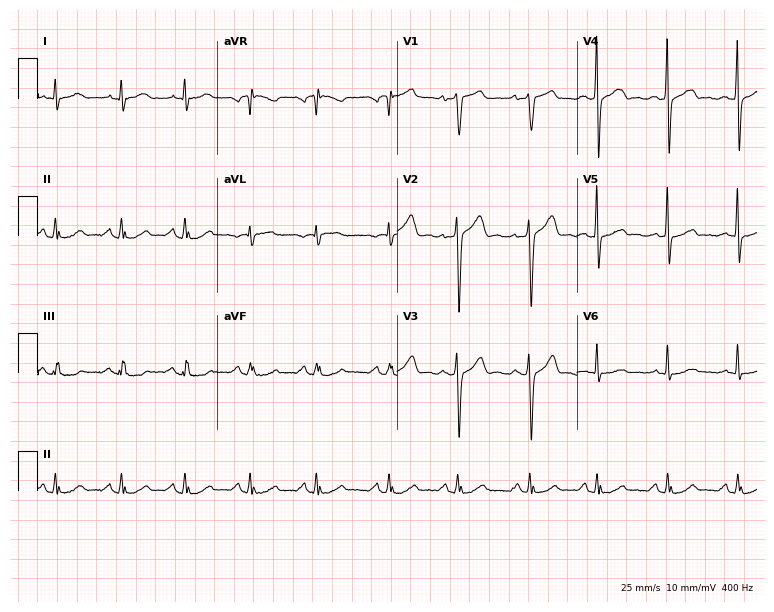
Electrocardiogram (7.3-second recording at 400 Hz), a man, 47 years old. Overall reading on record: normal ECG.